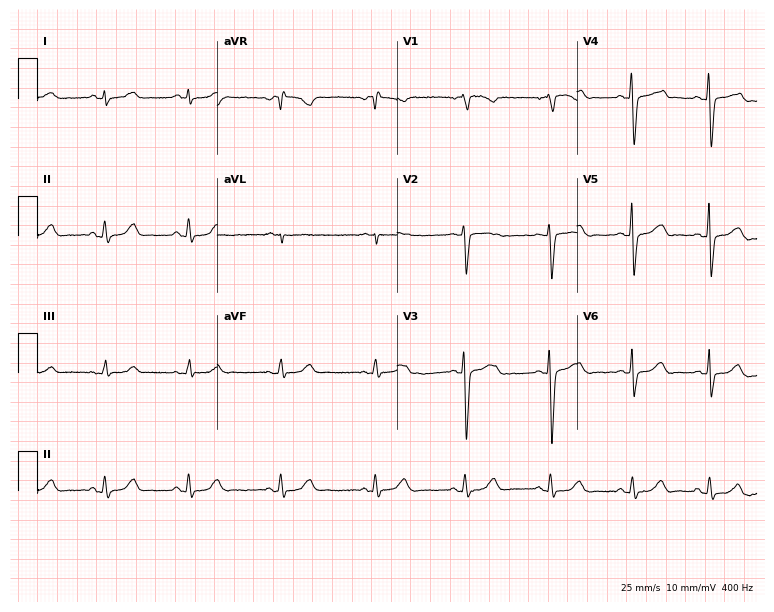
ECG (7.3-second recording at 400 Hz) — a female patient, 40 years old. Labelled as a normal ECG.